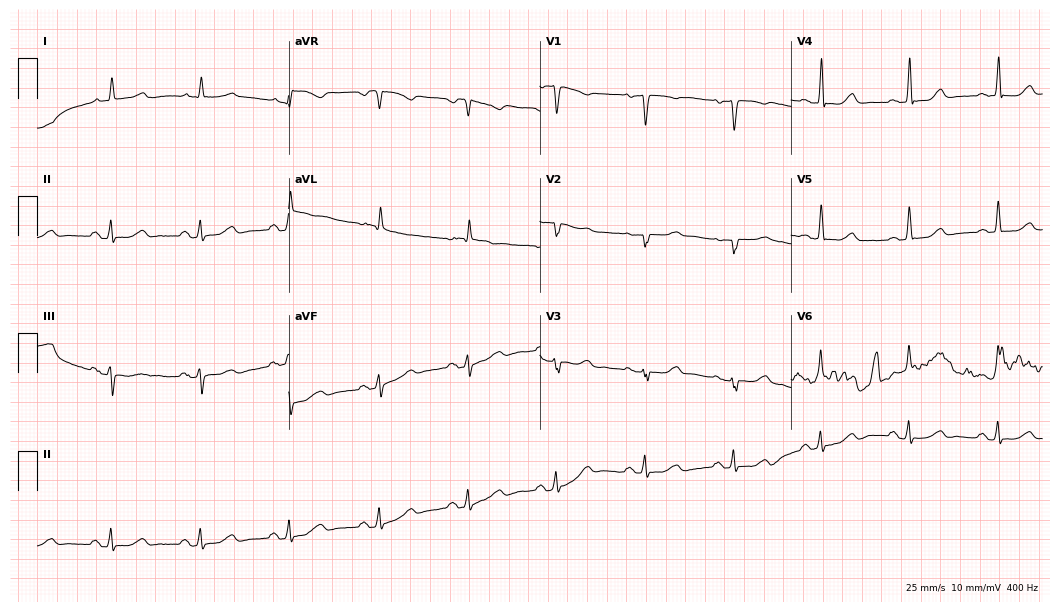
ECG — a woman, 71 years old. Screened for six findings — first-degree AV block, right bundle branch block, left bundle branch block, sinus bradycardia, atrial fibrillation, sinus tachycardia — none is recorded. Findings outside these six are not listed.